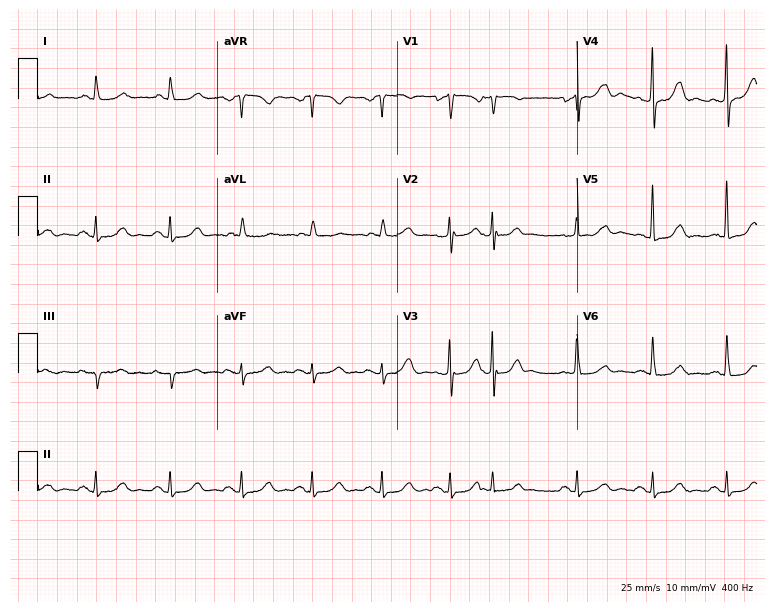
Standard 12-lead ECG recorded from a 77-year-old woman (7.3-second recording at 400 Hz). Read as a normal ECG.